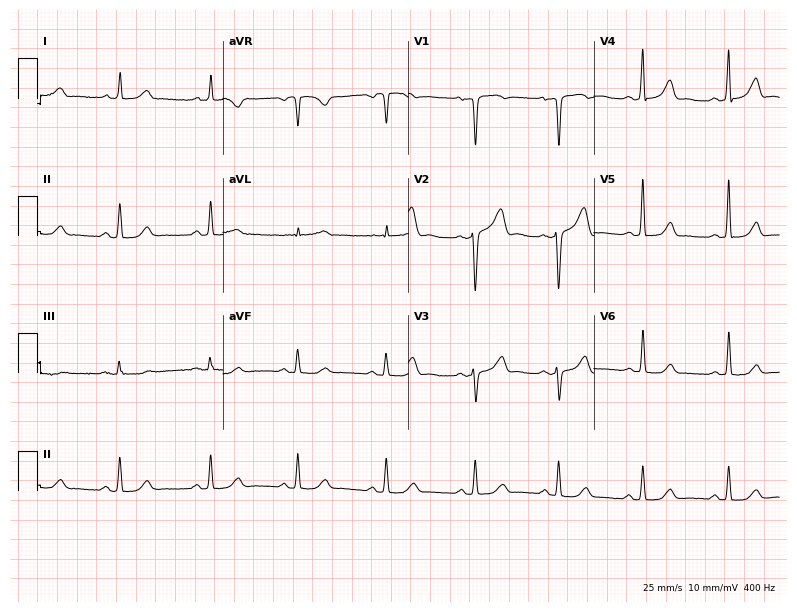
12-lead ECG (7.6-second recording at 400 Hz) from a 43-year-old female patient. Labelled as a normal ECG.